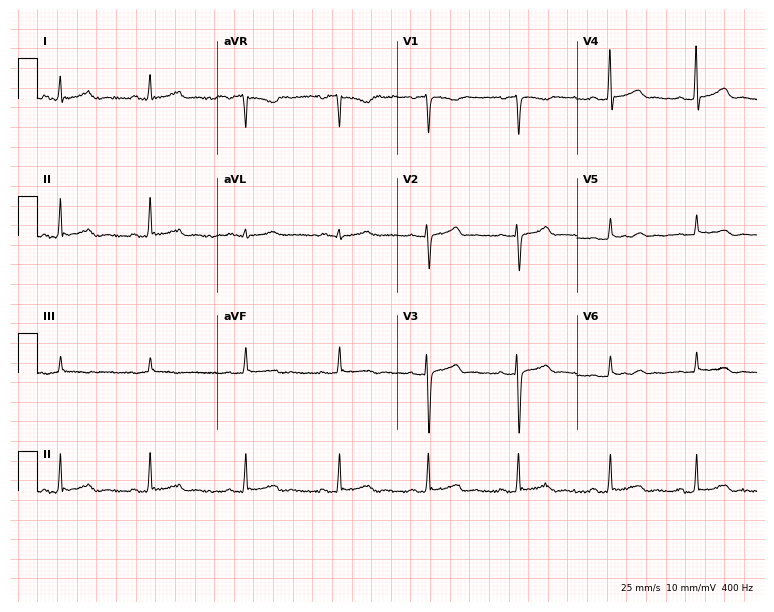
Standard 12-lead ECG recorded from a female patient, 21 years old. Read as a normal ECG.